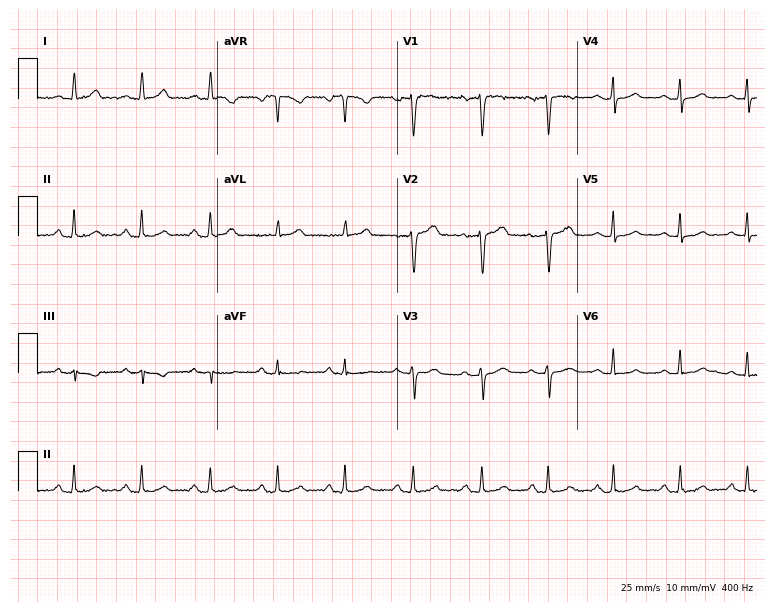
Resting 12-lead electrocardiogram. Patient: a female, 40 years old. Read as a normal ECG.